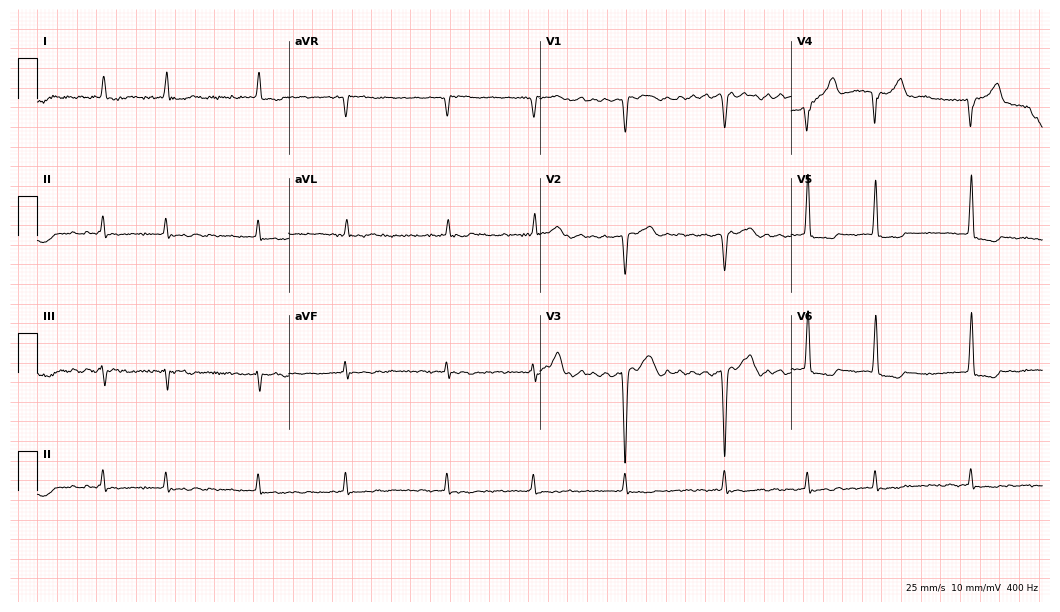
Resting 12-lead electrocardiogram (10.2-second recording at 400 Hz). Patient: an 83-year-old man. The tracing shows atrial fibrillation.